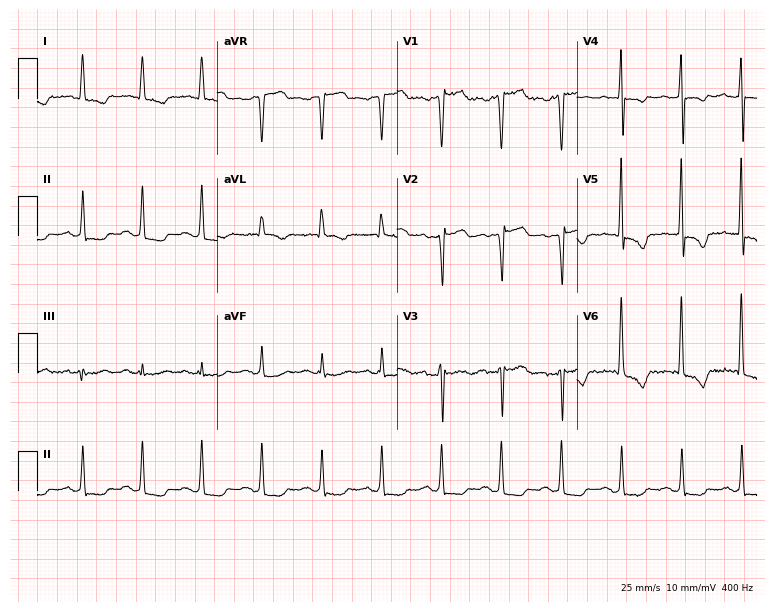
Resting 12-lead electrocardiogram. Patient: an 84-year-old male. None of these six findings is recorded: first-degree AV block, right bundle branch block, left bundle branch block, sinus bradycardia, atrial fibrillation, sinus tachycardia. Other findings, if any, are not listed.